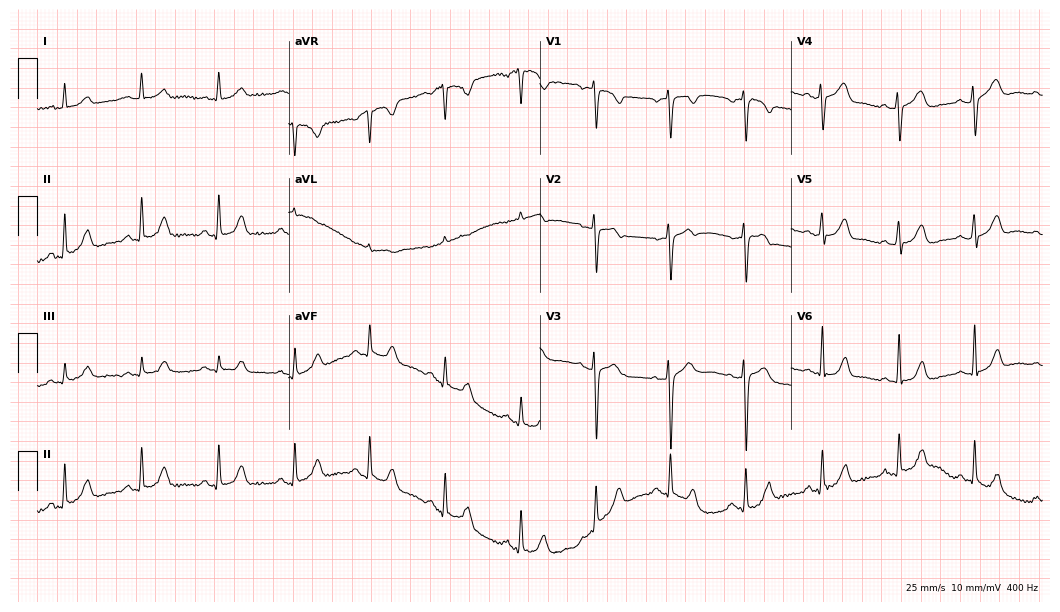
ECG (10.2-second recording at 400 Hz) — a 49-year-old female patient. Labelled as a normal ECG.